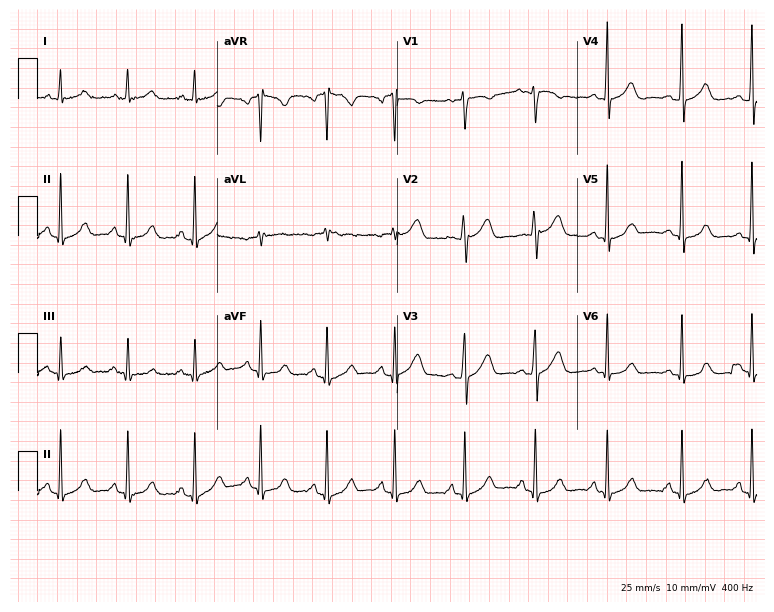
Standard 12-lead ECG recorded from a 42-year-old woman (7.3-second recording at 400 Hz). Read as a normal ECG.